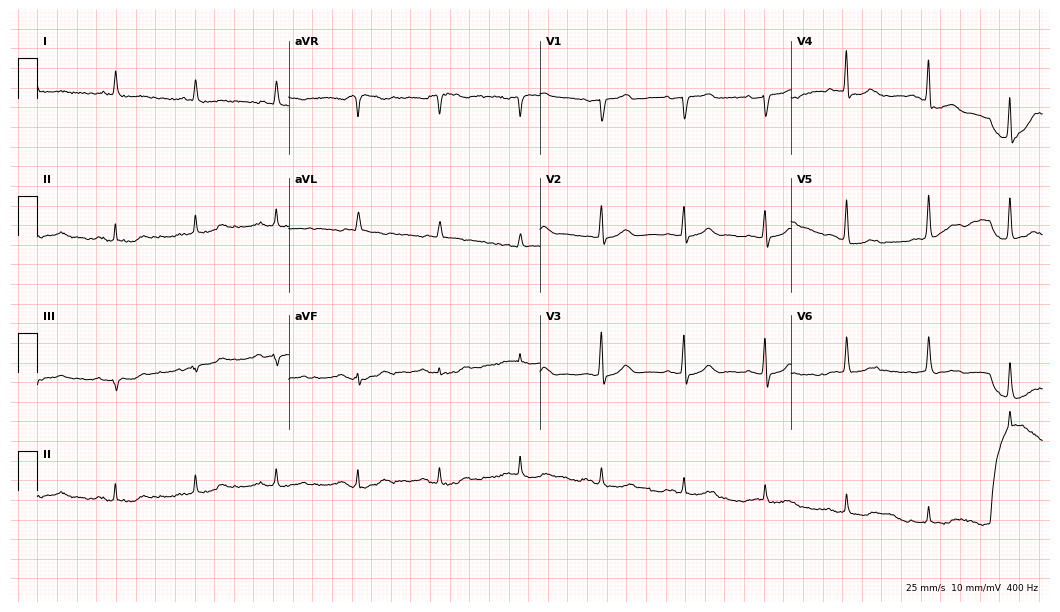
12-lead ECG from a male patient, 86 years old (10.2-second recording at 400 Hz). No first-degree AV block, right bundle branch block (RBBB), left bundle branch block (LBBB), sinus bradycardia, atrial fibrillation (AF) or sinus tachycardia recorded for this tracing. Only these six findings were labelled.